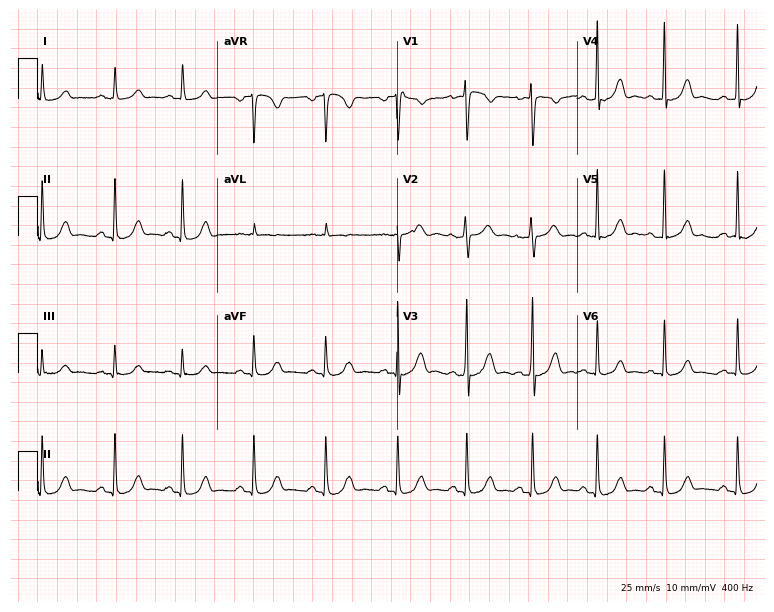
Resting 12-lead electrocardiogram (7.3-second recording at 400 Hz). Patient: a female, 26 years old. Read as a normal ECG.